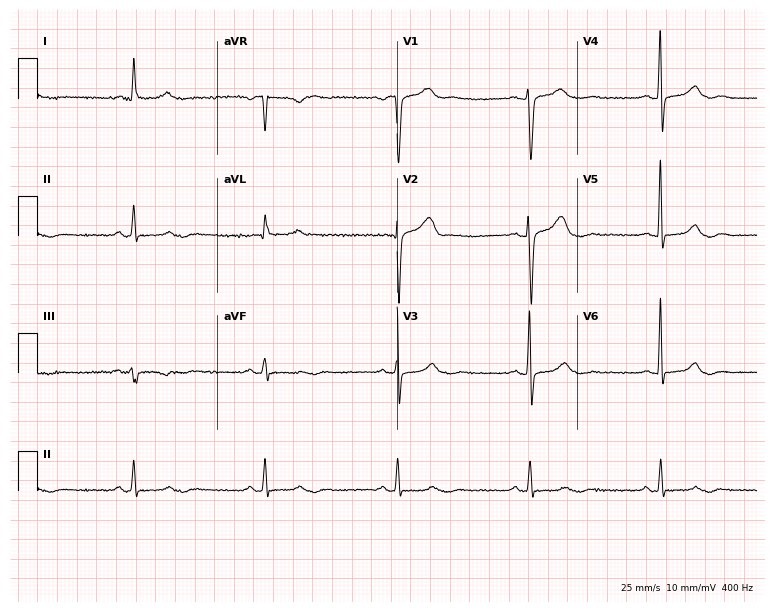
ECG (7.3-second recording at 400 Hz) — a male, 62 years old. Findings include sinus bradycardia (a sinus rate of 50 beats per minute or less).